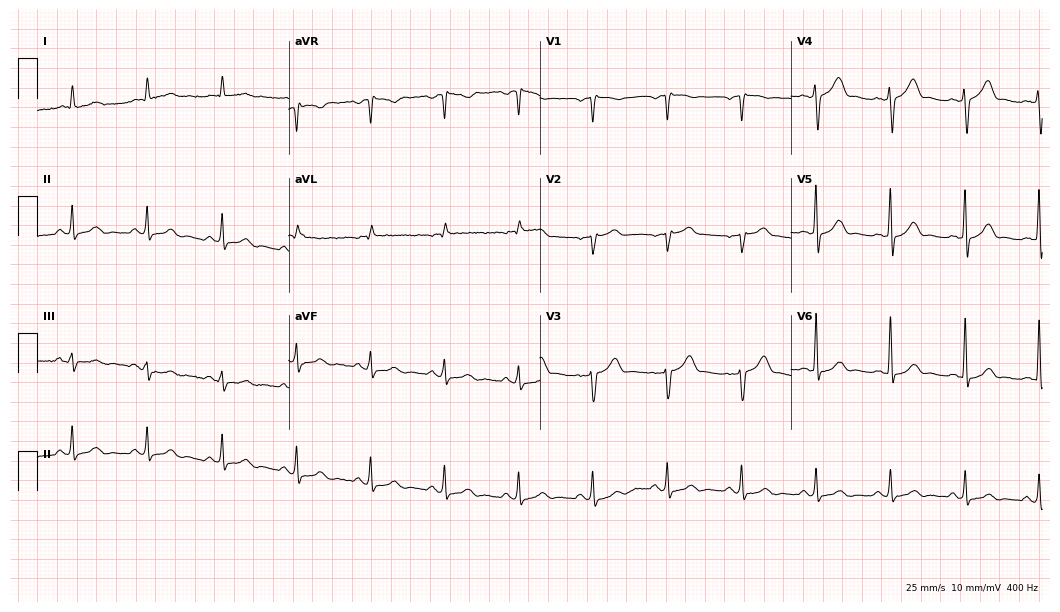
ECG — a 65-year-old man. Labelled as a normal ECG.